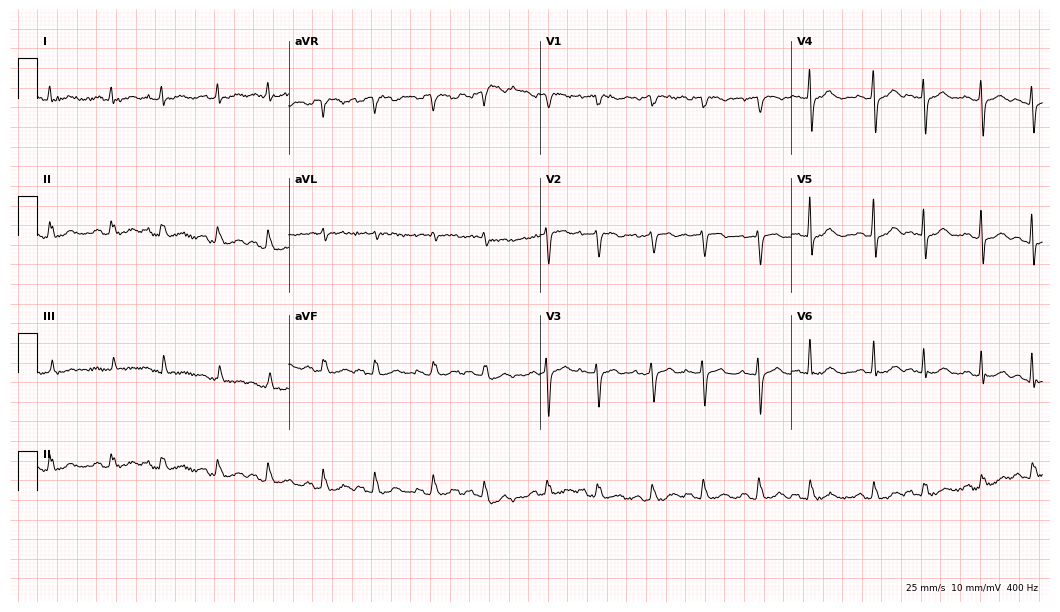
12-lead ECG from a 79-year-old female patient. No first-degree AV block, right bundle branch block (RBBB), left bundle branch block (LBBB), sinus bradycardia, atrial fibrillation (AF) or sinus tachycardia recorded for this tracing.